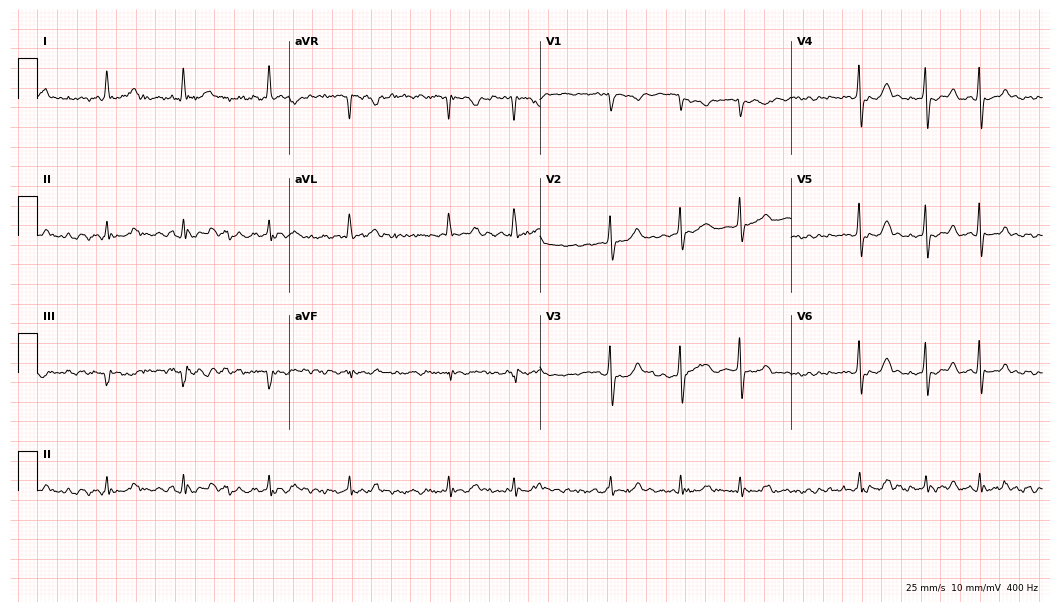
12-lead ECG from a 72-year-old male. Shows atrial fibrillation (AF).